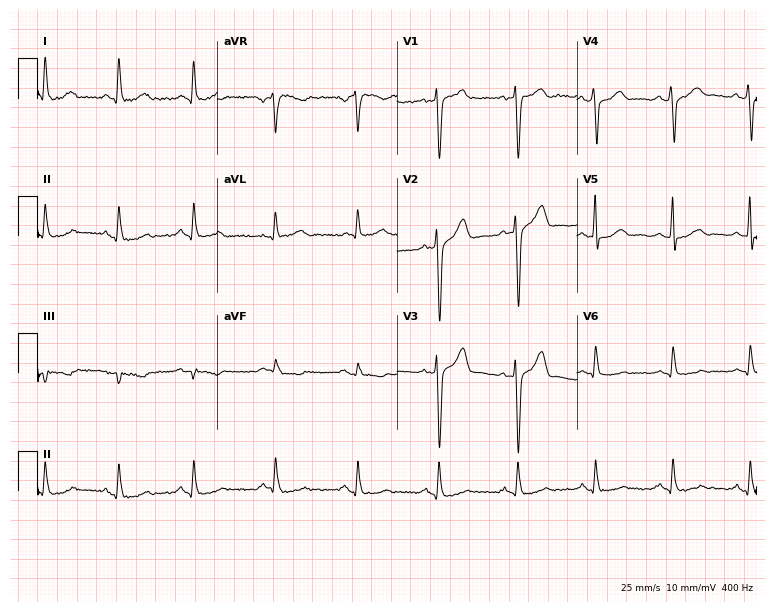
ECG — a male, 54 years old. Screened for six findings — first-degree AV block, right bundle branch block (RBBB), left bundle branch block (LBBB), sinus bradycardia, atrial fibrillation (AF), sinus tachycardia — none is recorded. Other findings, if any, are not listed.